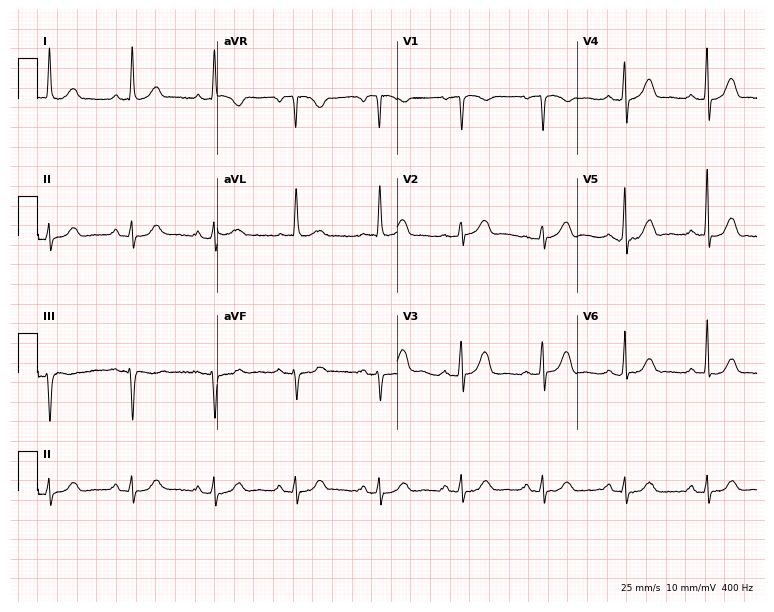
Resting 12-lead electrocardiogram (7.3-second recording at 400 Hz). Patient: a woman, 72 years old. None of these six findings is recorded: first-degree AV block, right bundle branch block (RBBB), left bundle branch block (LBBB), sinus bradycardia, atrial fibrillation (AF), sinus tachycardia.